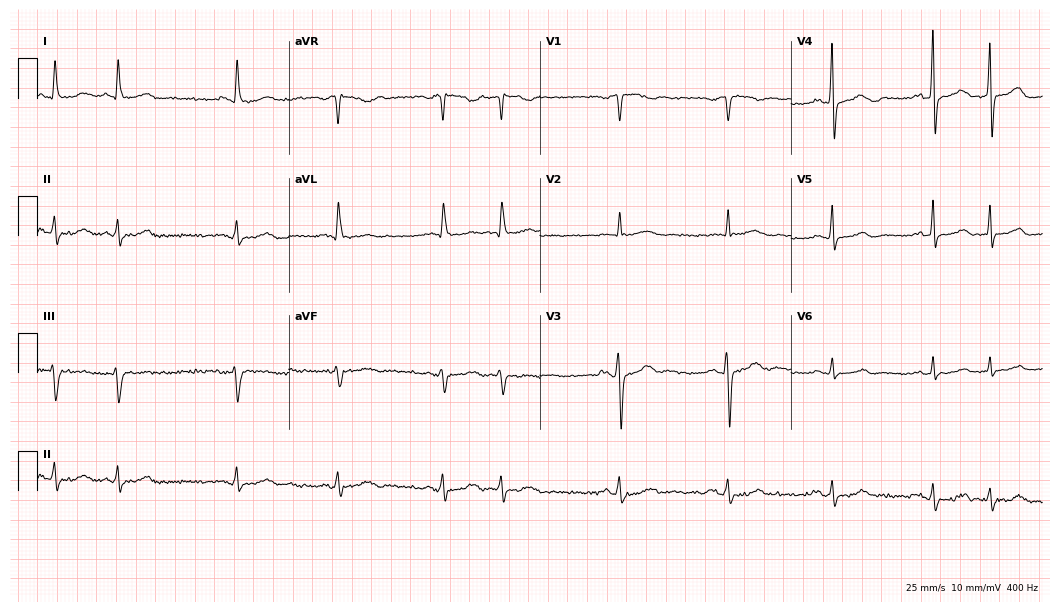
12-lead ECG from a 77-year-old male (10.2-second recording at 400 Hz). No first-degree AV block, right bundle branch block, left bundle branch block, sinus bradycardia, atrial fibrillation or sinus tachycardia recorded for this tracing.